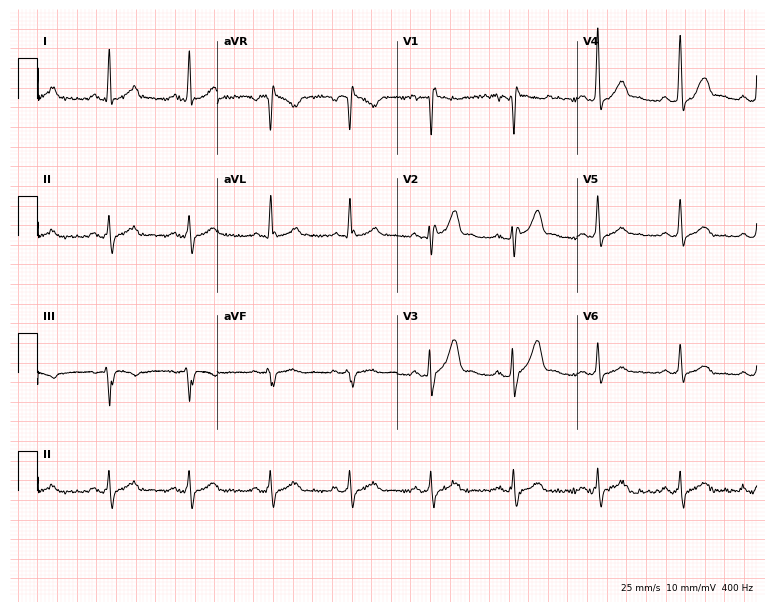
Resting 12-lead electrocardiogram (7.3-second recording at 400 Hz). Patient: a 37-year-old man. None of these six findings is recorded: first-degree AV block, right bundle branch block (RBBB), left bundle branch block (LBBB), sinus bradycardia, atrial fibrillation (AF), sinus tachycardia. Other findings, if any, are not listed.